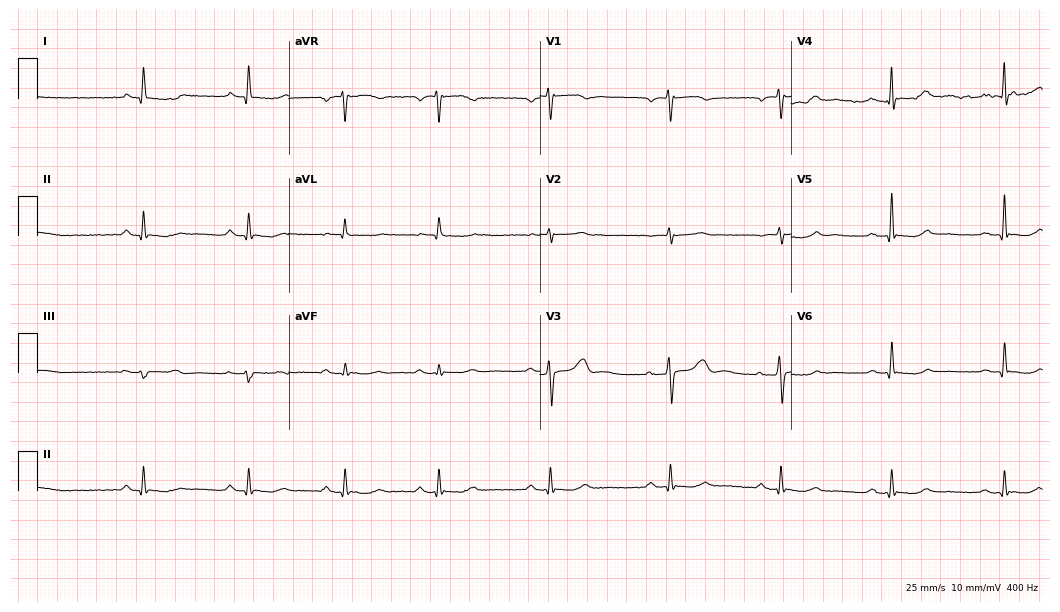
12-lead ECG from a 59-year-old female. No first-degree AV block, right bundle branch block, left bundle branch block, sinus bradycardia, atrial fibrillation or sinus tachycardia recorded for this tracing. Other findings, if any, are not listed.